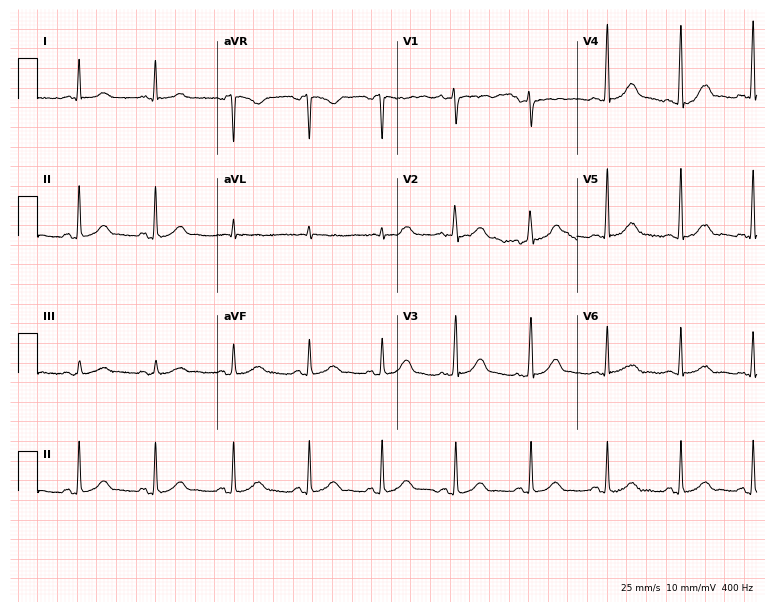
12-lead ECG (7.3-second recording at 400 Hz) from a 48-year-old woman. Labelled as a normal ECG.